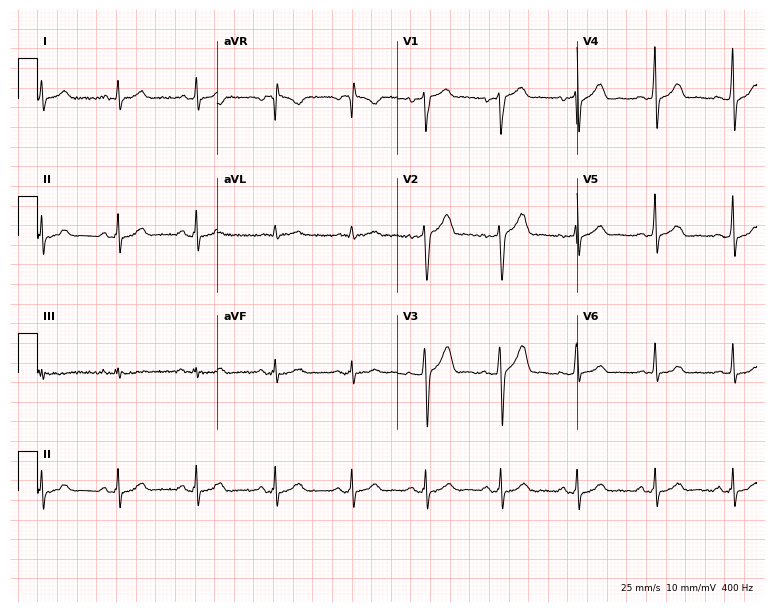
12-lead ECG from a male, 38 years old. No first-degree AV block, right bundle branch block, left bundle branch block, sinus bradycardia, atrial fibrillation or sinus tachycardia recorded for this tracing. Only these six findings were labelled.